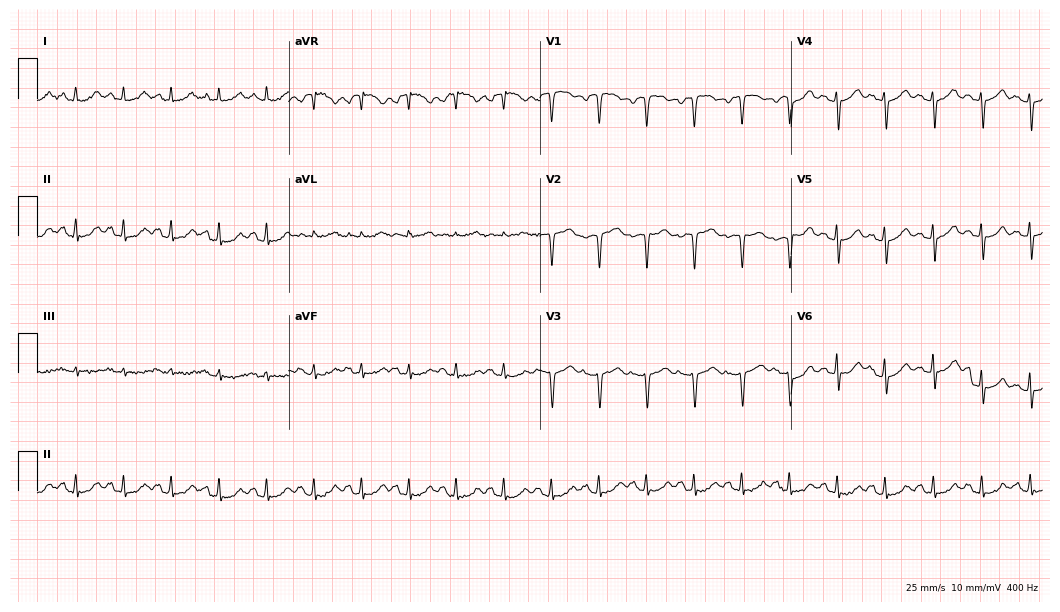
12-lead ECG from a female patient, 59 years old. Shows sinus tachycardia (a sinus rate of 100 beats per minute or more).